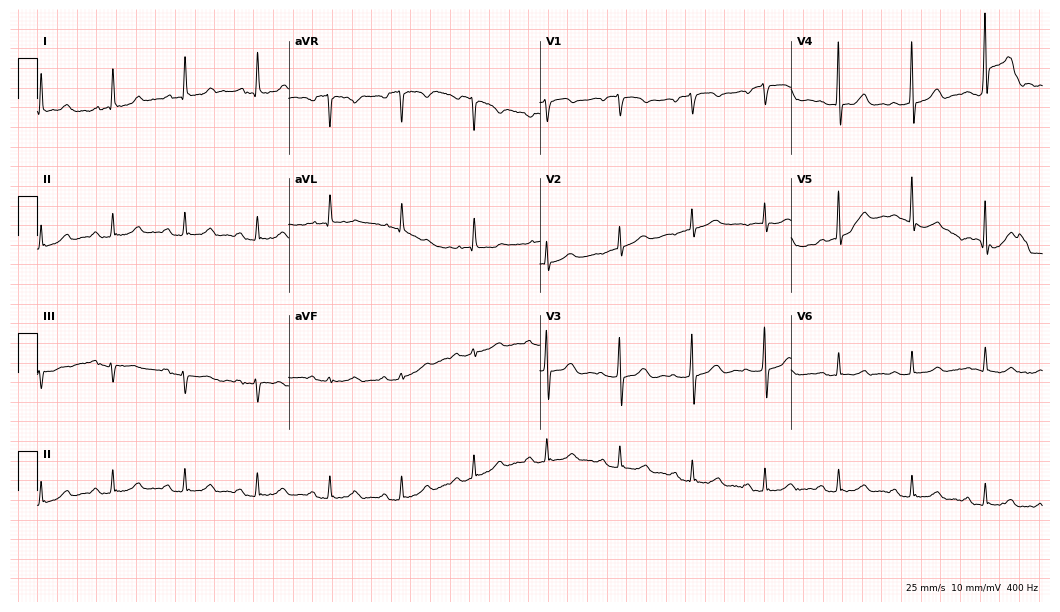
Standard 12-lead ECG recorded from a 71-year-old female (10.2-second recording at 400 Hz). Read as a normal ECG.